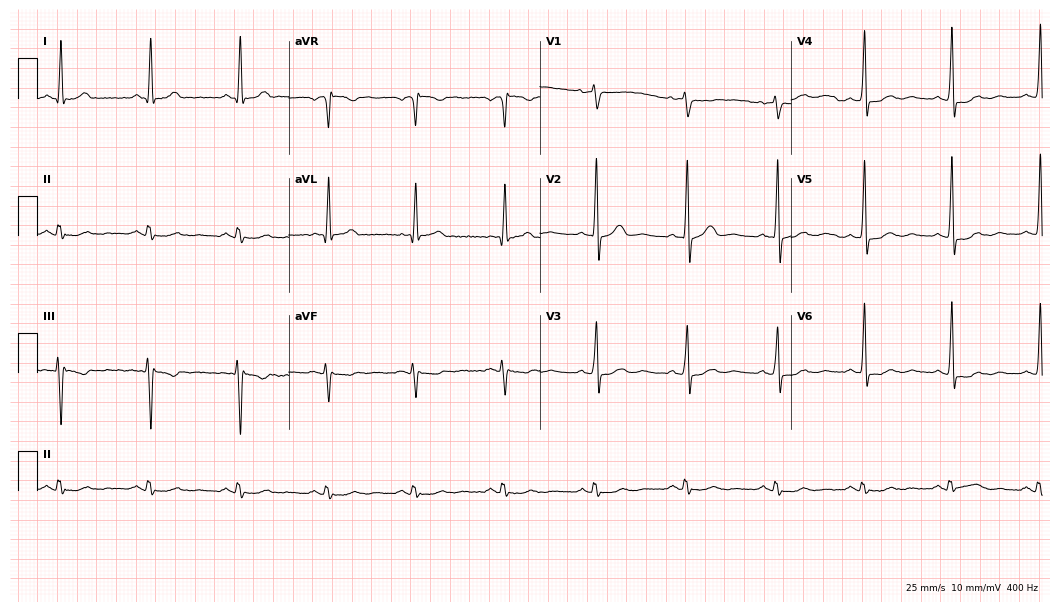
Standard 12-lead ECG recorded from a 57-year-old female. Read as a normal ECG.